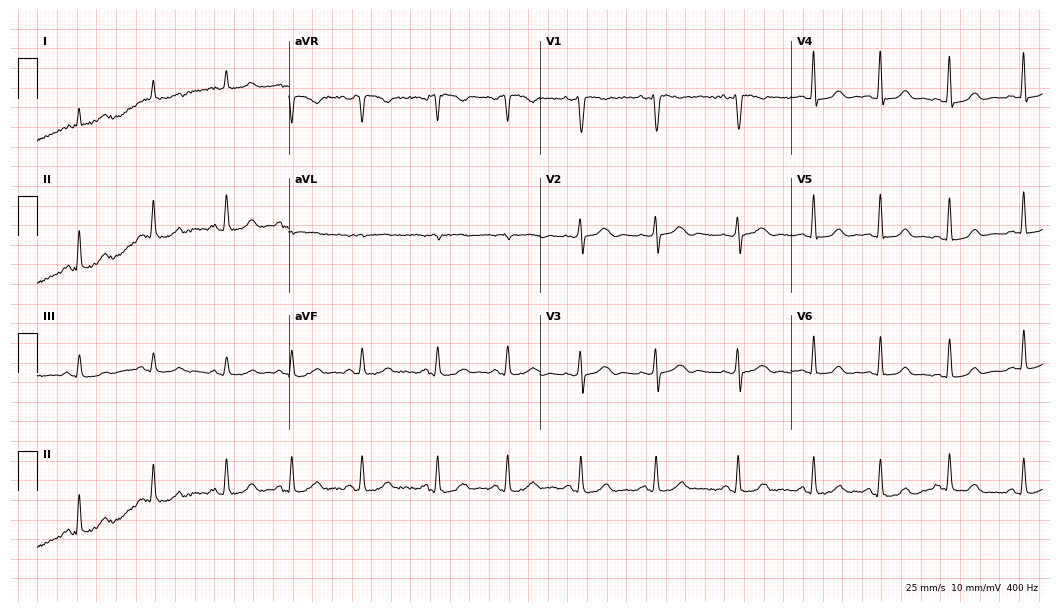
12-lead ECG from a 33-year-old female. Recorded interpretation: within normal limits.